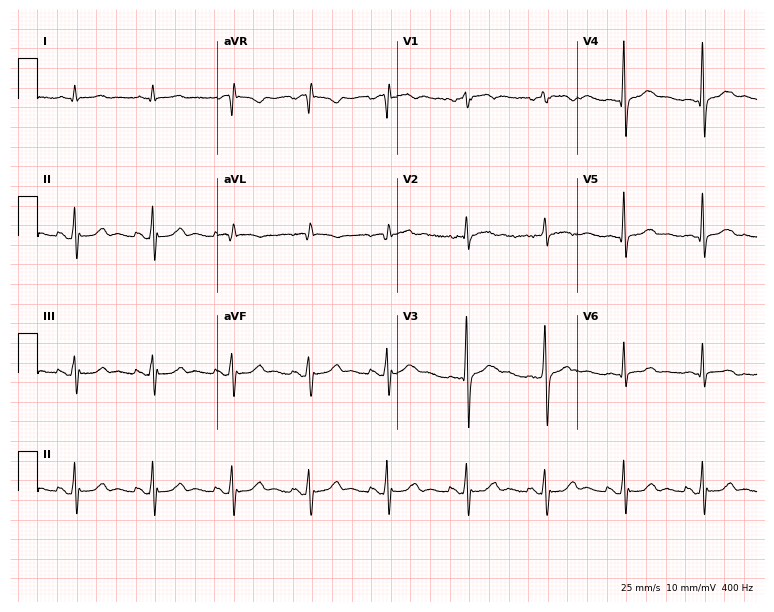
Resting 12-lead electrocardiogram (7.3-second recording at 400 Hz). Patient: a man, 80 years old. Read as a normal ECG.